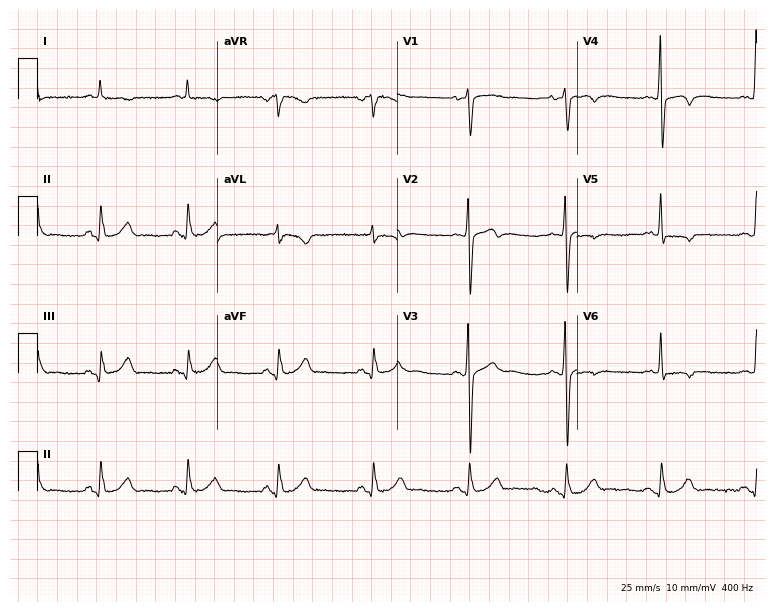
Standard 12-lead ECG recorded from a man, 72 years old. None of these six findings is recorded: first-degree AV block, right bundle branch block, left bundle branch block, sinus bradycardia, atrial fibrillation, sinus tachycardia.